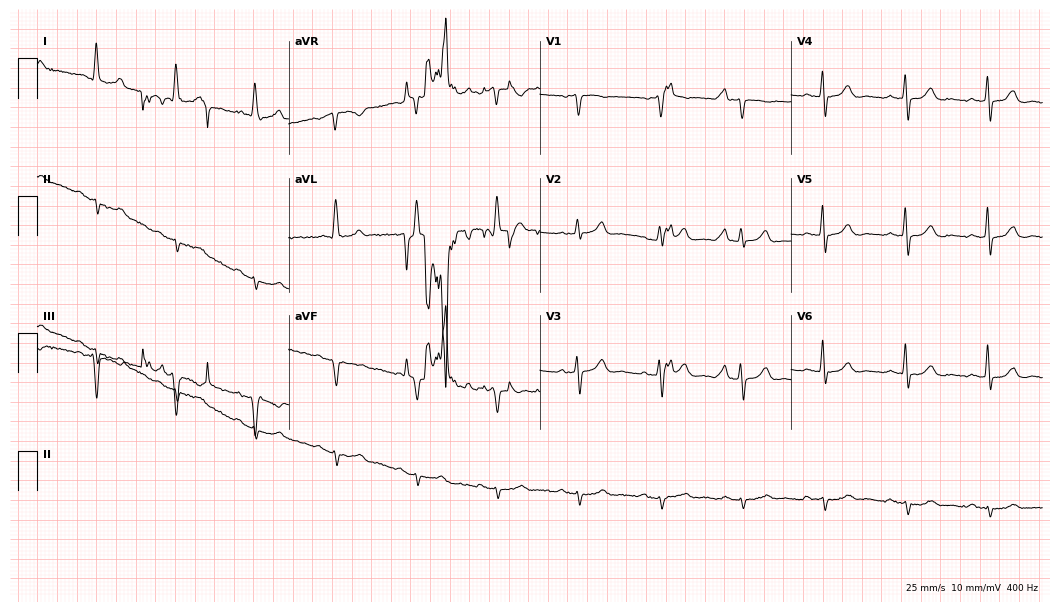
Electrocardiogram (10.2-second recording at 400 Hz), a 72-year-old male patient. Overall reading on record: normal ECG.